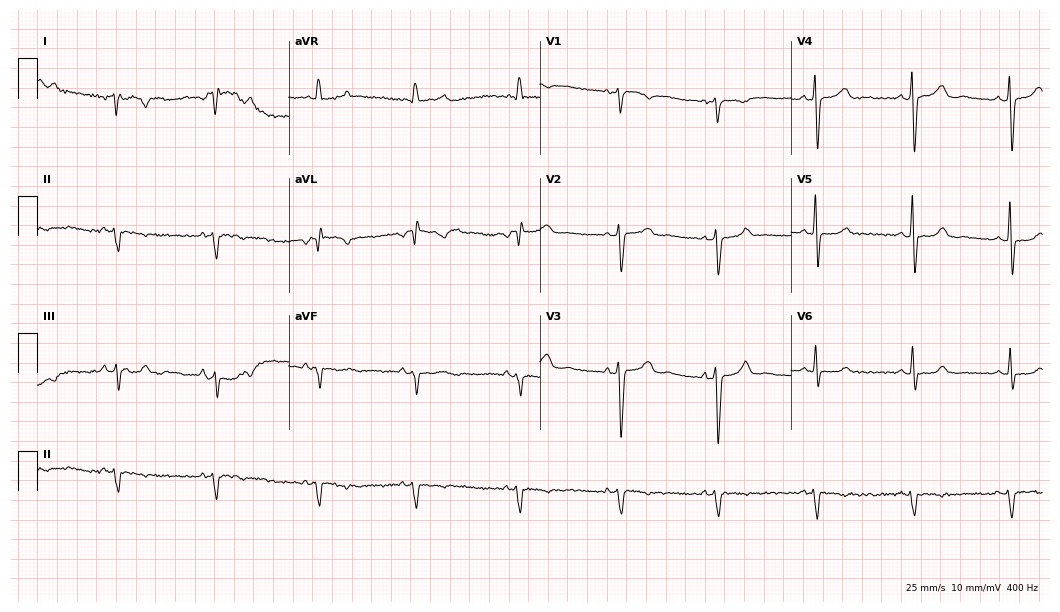
Standard 12-lead ECG recorded from a female patient, 43 years old. None of these six findings is recorded: first-degree AV block, right bundle branch block, left bundle branch block, sinus bradycardia, atrial fibrillation, sinus tachycardia. Findings outside these six are not listed.